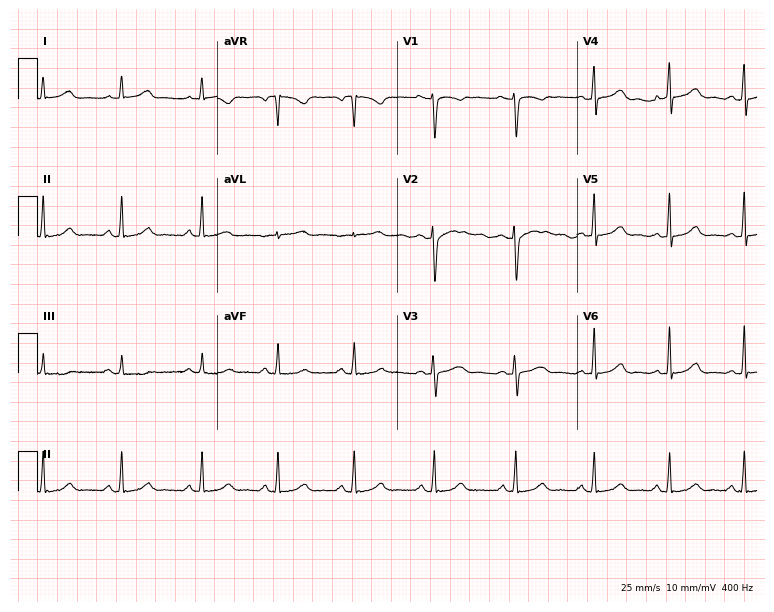
12-lead ECG from a 27-year-old woman. Recorded interpretation: within normal limits.